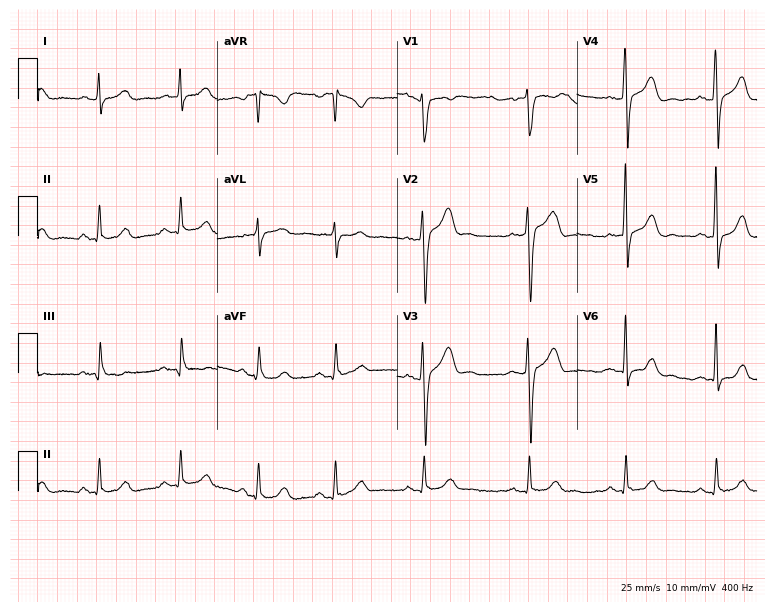
Electrocardiogram (7.3-second recording at 400 Hz), a male, 53 years old. Overall reading on record: normal ECG.